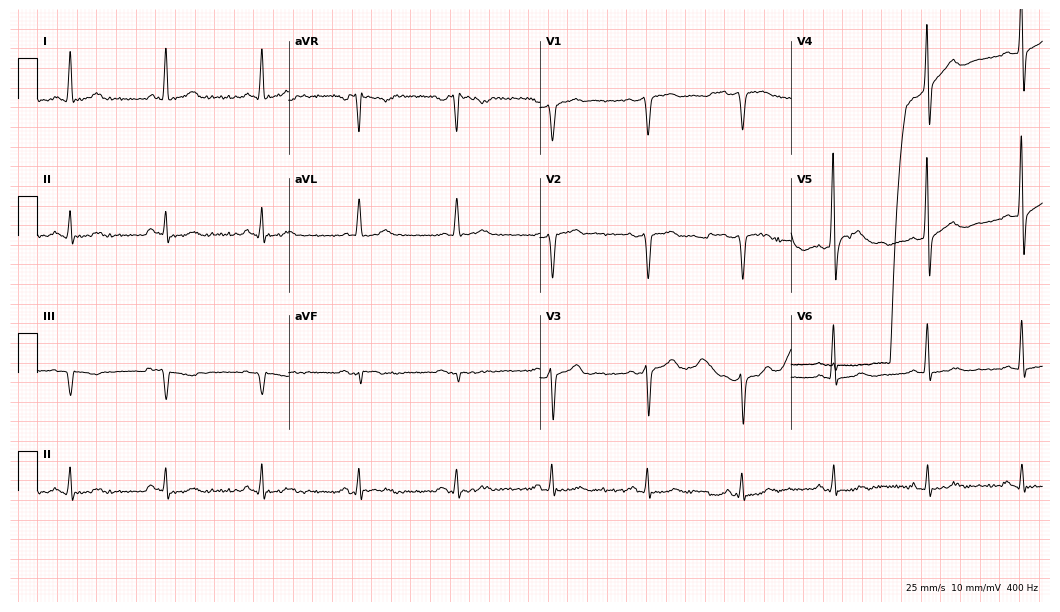
ECG — a 56-year-old male patient. Screened for six findings — first-degree AV block, right bundle branch block (RBBB), left bundle branch block (LBBB), sinus bradycardia, atrial fibrillation (AF), sinus tachycardia — none is recorded. Only these six findings were labelled.